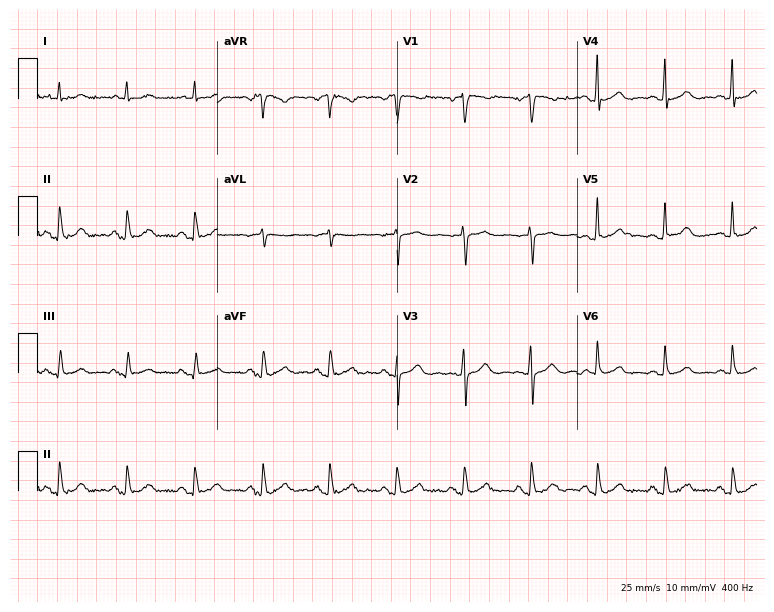
Electrocardiogram, a 66-year-old female. Overall reading on record: normal ECG.